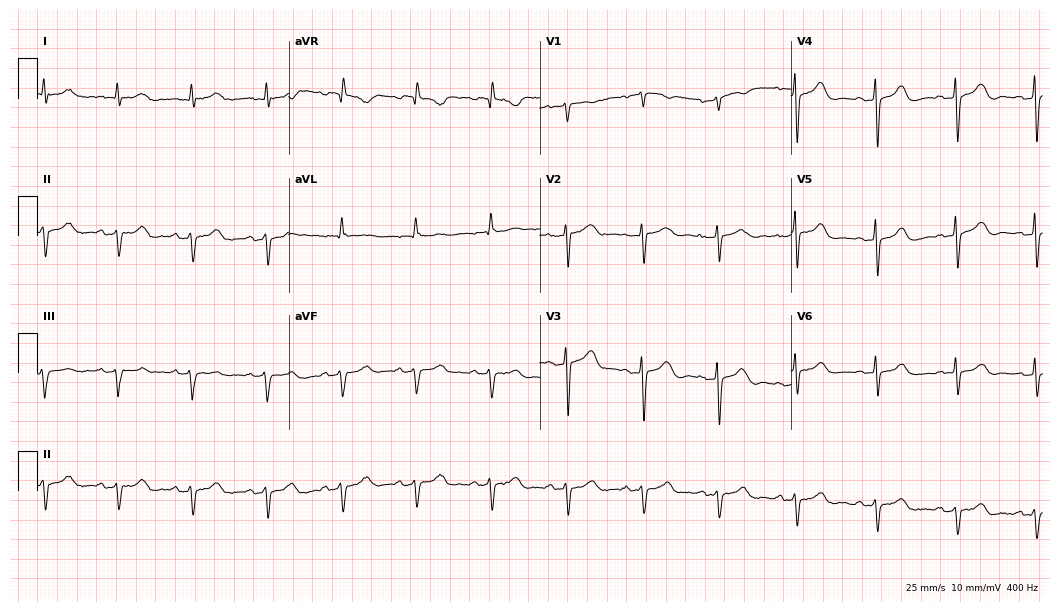
Electrocardiogram (10.2-second recording at 400 Hz), a woman, 85 years old. Of the six screened findings (first-degree AV block, right bundle branch block, left bundle branch block, sinus bradycardia, atrial fibrillation, sinus tachycardia), none is recorded. Only these six findings were labelled.